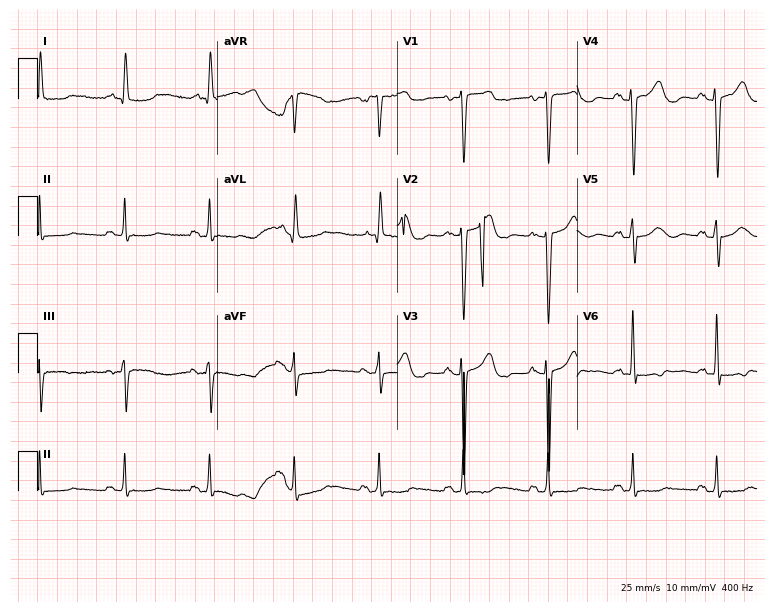
Resting 12-lead electrocardiogram. Patient: an 80-year-old female. None of these six findings is recorded: first-degree AV block, right bundle branch block, left bundle branch block, sinus bradycardia, atrial fibrillation, sinus tachycardia. Findings outside these six are not listed.